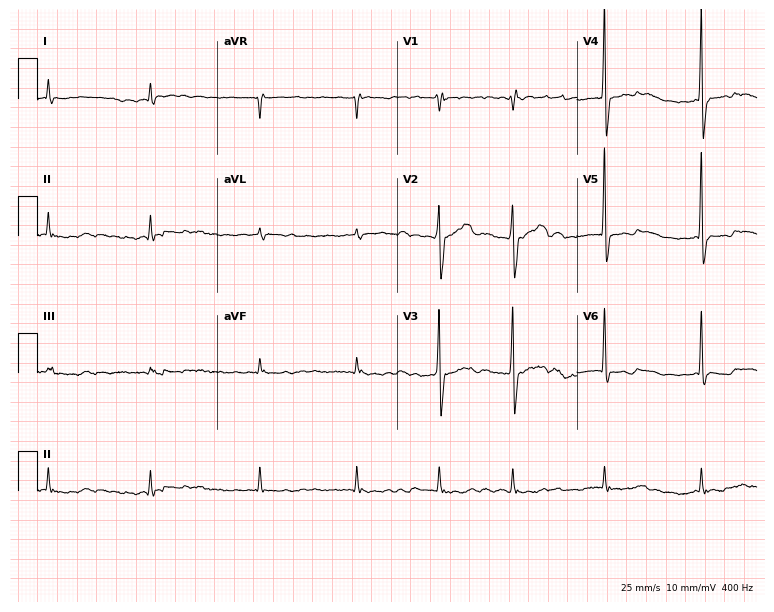
Resting 12-lead electrocardiogram (7.3-second recording at 400 Hz). Patient: a male, 67 years old. The tracing shows atrial fibrillation.